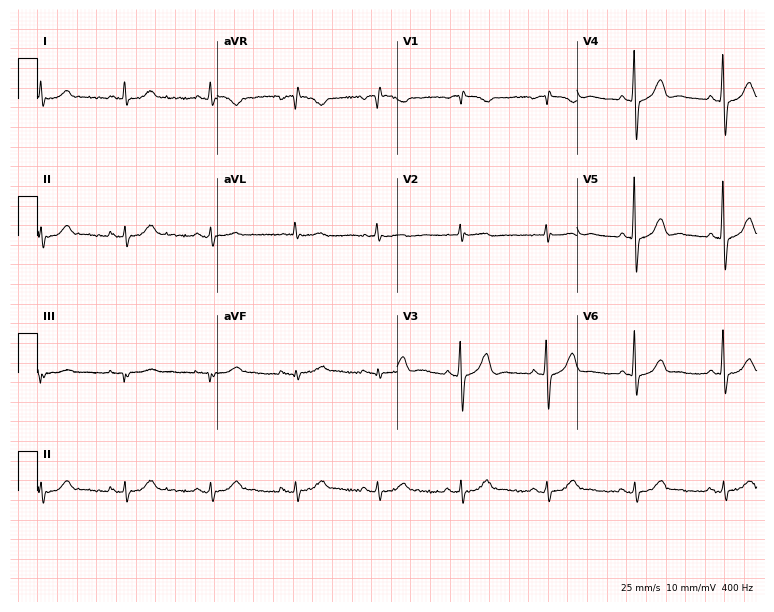
ECG — a man, 72 years old. Labelled as a normal ECG.